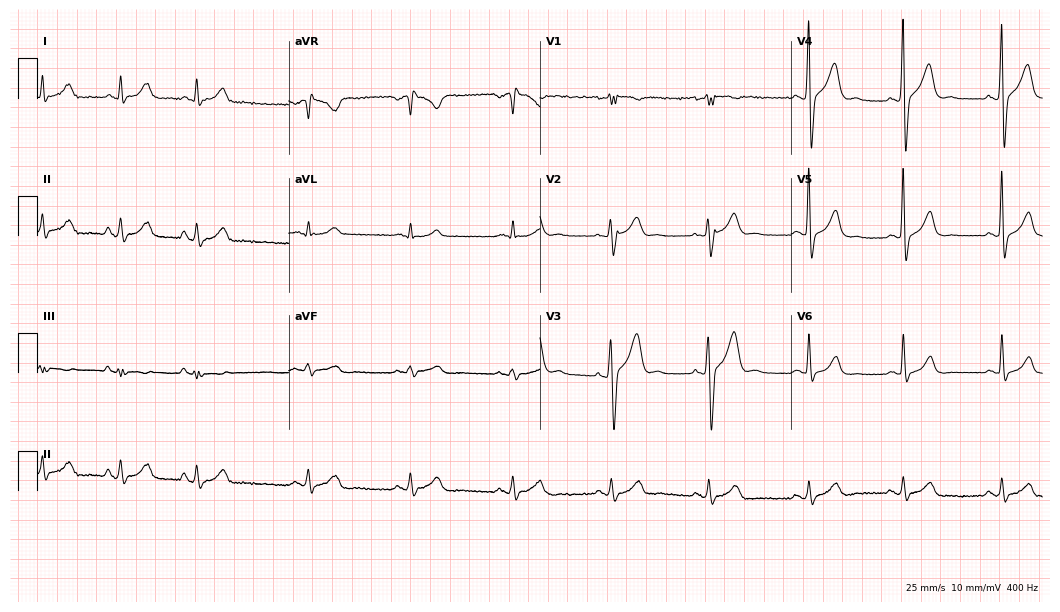
Electrocardiogram (10.2-second recording at 400 Hz), a man, 40 years old. Of the six screened findings (first-degree AV block, right bundle branch block (RBBB), left bundle branch block (LBBB), sinus bradycardia, atrial fibrillation (AF), sinus tachycardia), none is recorded. Findings outside these six are not listed.